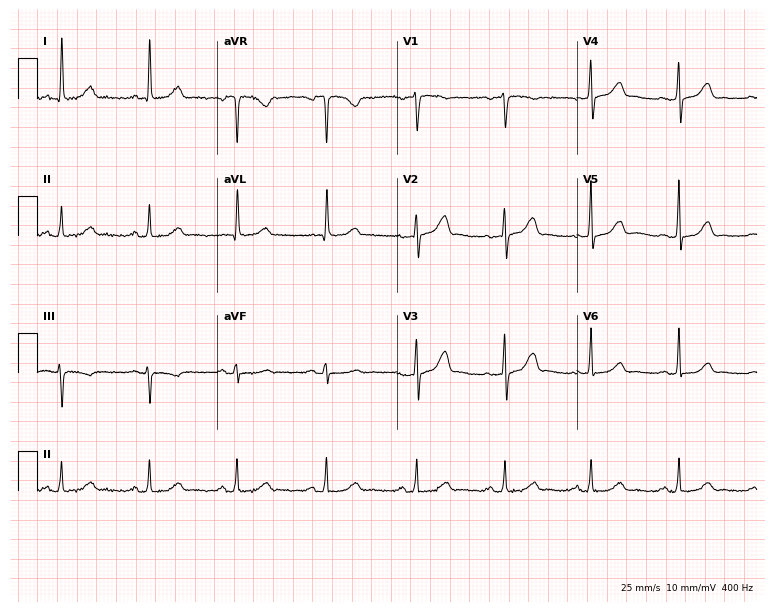
12-lead ECG from a female, 58 years old (7.3-second recording at 400 Hz). Recorded interpretation: within normal limits.